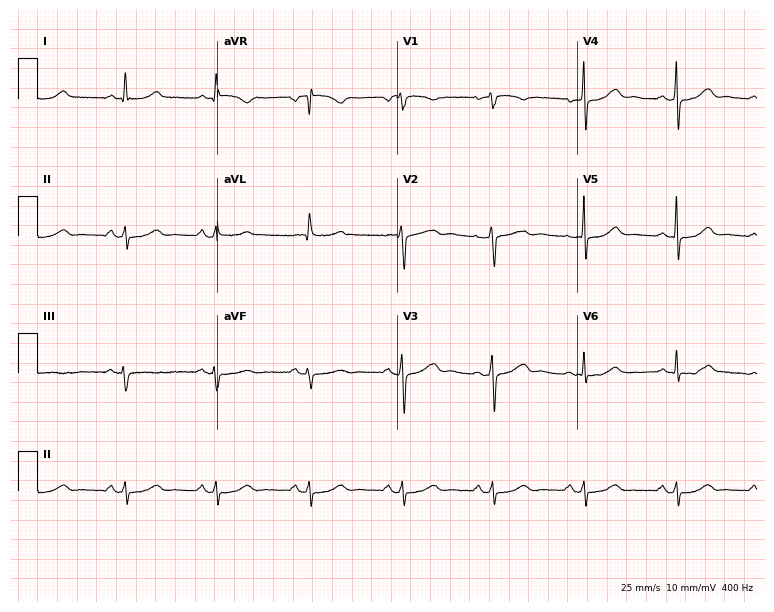
Standard 12-lead ECG recorded from a female patient, 57 years old (7.3-second recording at 400 Hz). None of these six findings is recorded: first-degree AV block, right bundle branch block, left bundle branch block, sinus bradycardia, atrial fibrillation, sinus tachycardia.